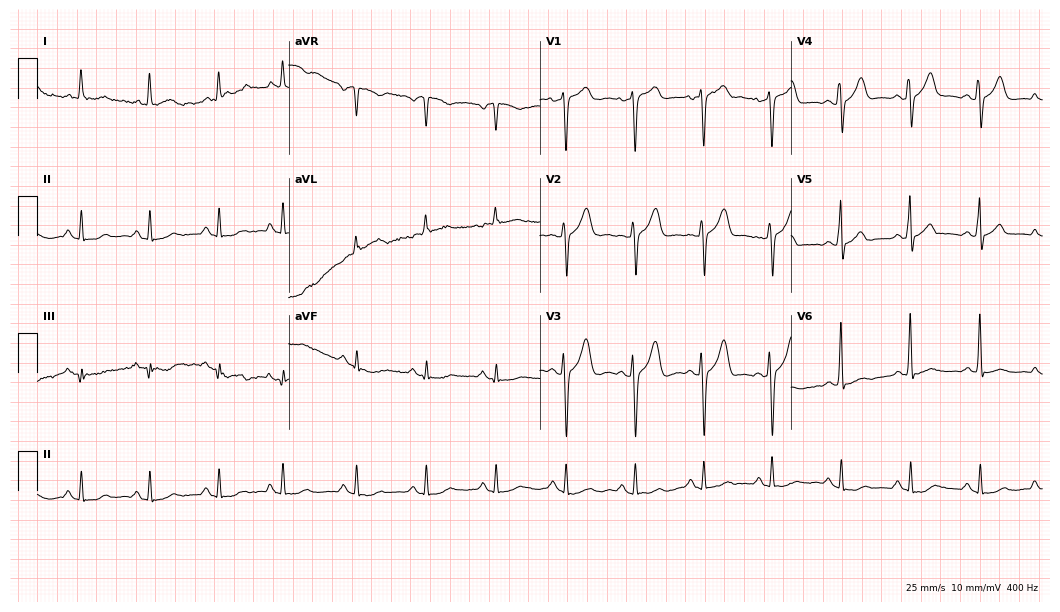
12-lead ECG from an 80-year-old man (10.2-second recording at 400 Hz). No first-degree AV block, right bundle branch block, left bundle branch block, sinus bradycardia, atrial fibrillation or sinus tachycardia recorded for this tracing. Only these six findings were labelled.